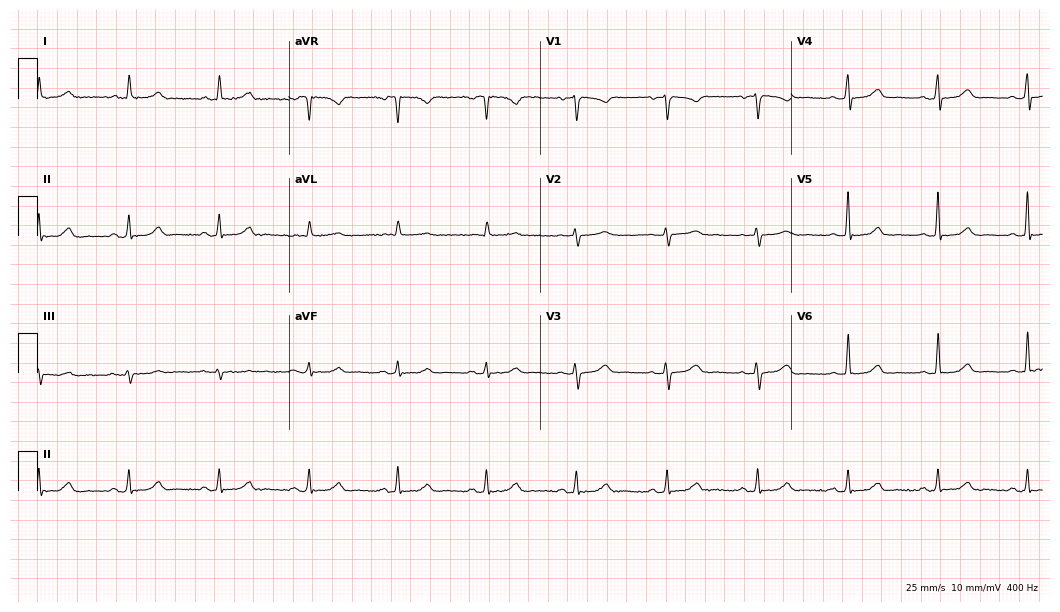
Electrocardiogram, a female, 54 years old. Of the six screened findings (first-degree AV block, right bundle branch block, left bundle branch block, sinus bradycardia, atrial fibrillation, sinus tachycardia), none is recorded. Only these six findings were labelled.